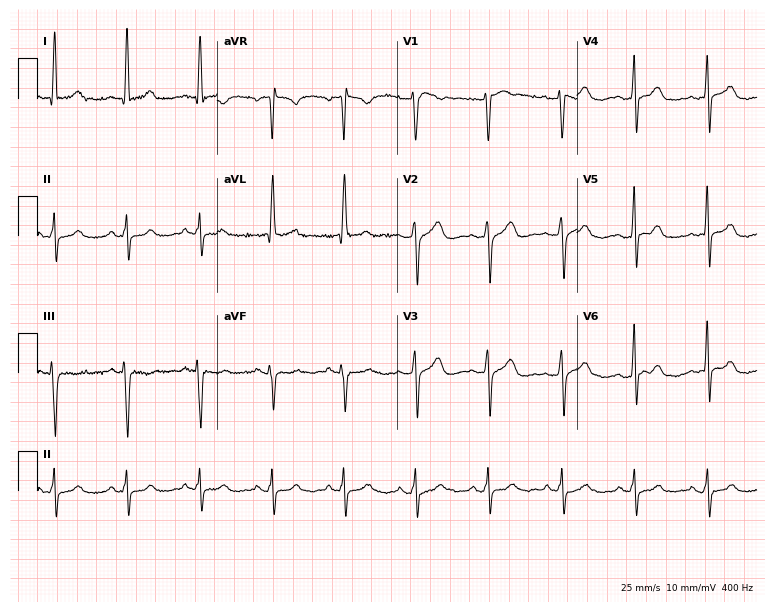
12-lead ECG from a 52-year-old male patient. No first-degree AV block, right bundle branch block (RBBB), left bundle branch block (LBBB), sinus bradycardia, atrial fibrillation (AF) or sinus tachycardia recorded for this tracing.